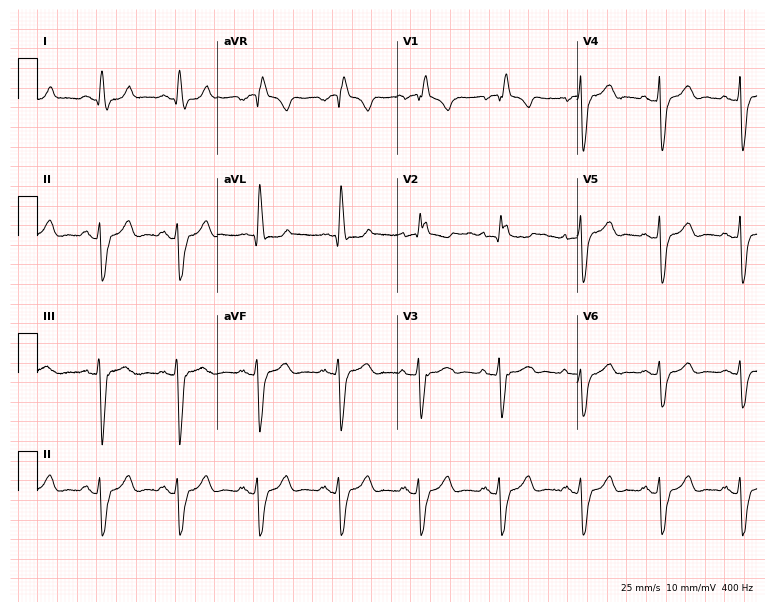
12-lead ECG from a 67-year-old female patient. Findings include right bundle branch block (RBBB).